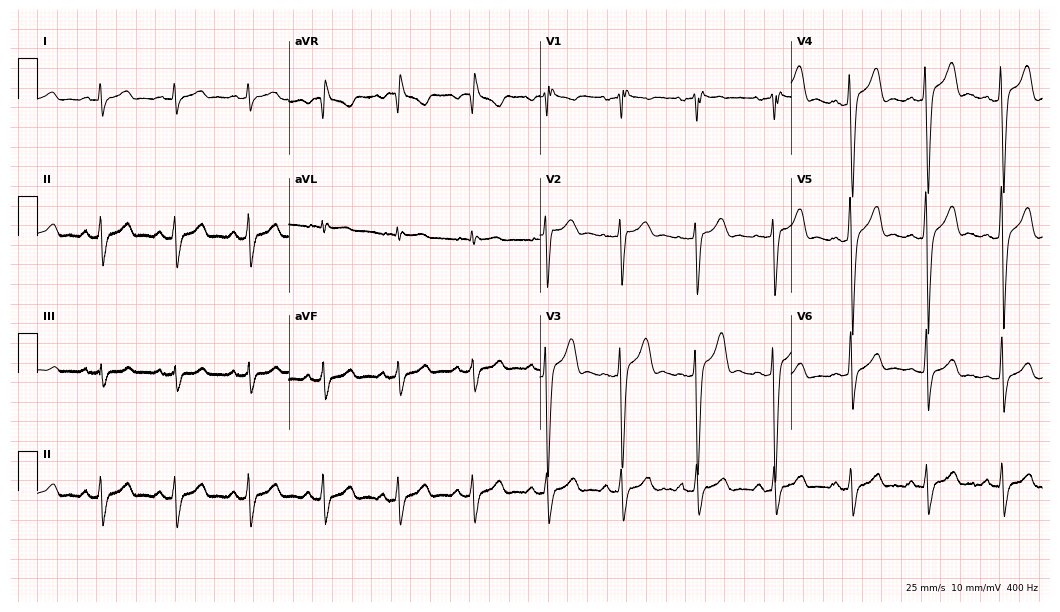
Standard 12-lead ECG recorded from a male, 32 years old. The tracing shows right bundle branch block.